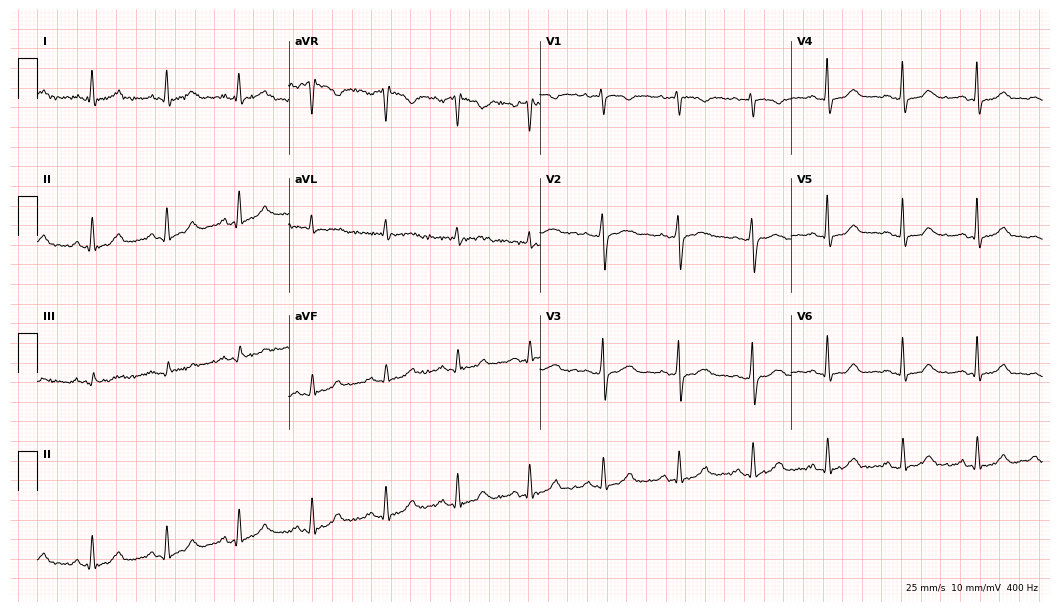
Electrocardiogram (10.2-second recording at 400 Hz), a female, 47 years old. Of the six screened findings (first-degree AV block, right bundle branch block, left bundle branch block, sinus bradycardia, atrial fibrillation, sinus tachycardia), none is recorded. Findings outside these six are not listed.